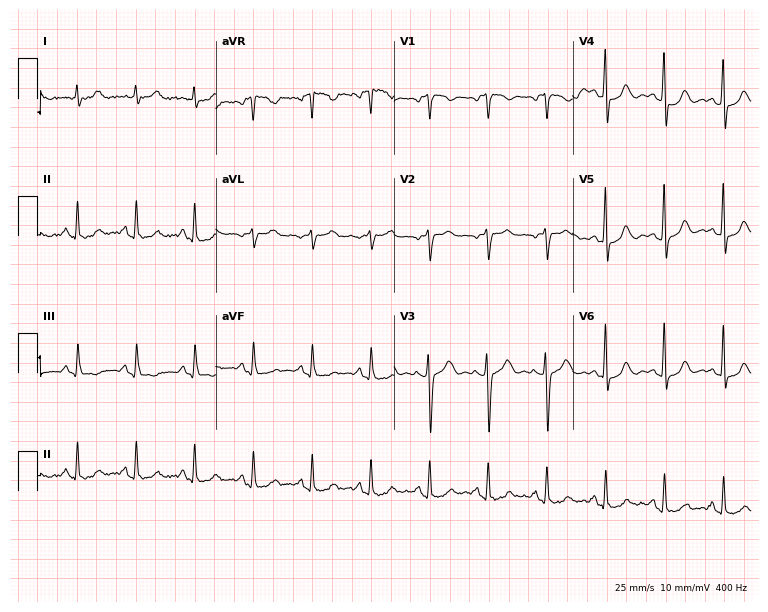
12-lead ECG (7.3-second recording at 400 Hz) from a 61-year-old female patient. Labelled as a normal ECG.